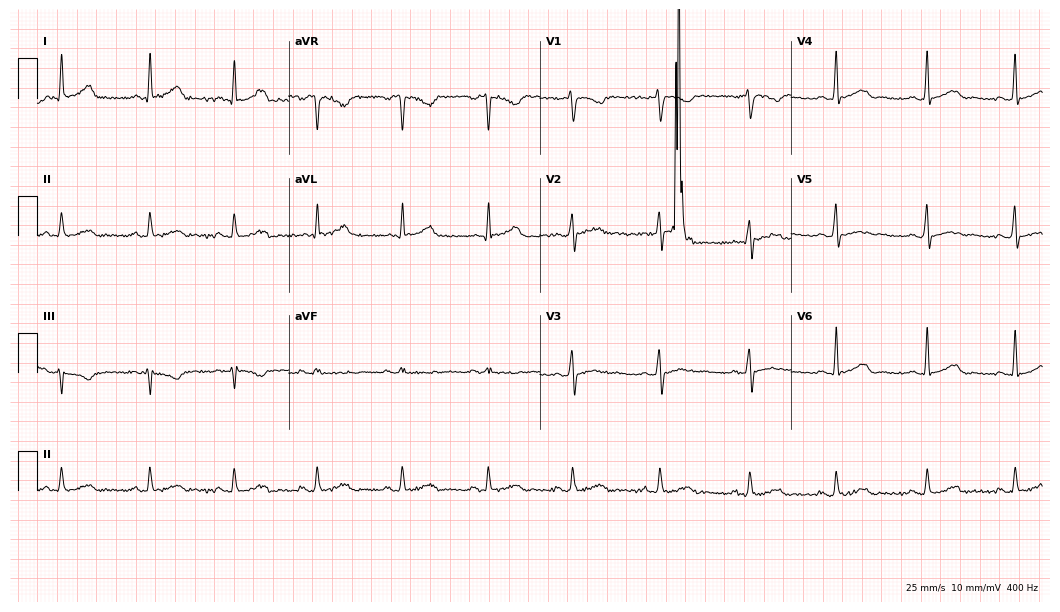
Electrocardiogram (10.2-second recording at 400 Hz), a male patient, 51 years old. Overall reading on record: normal ECG.